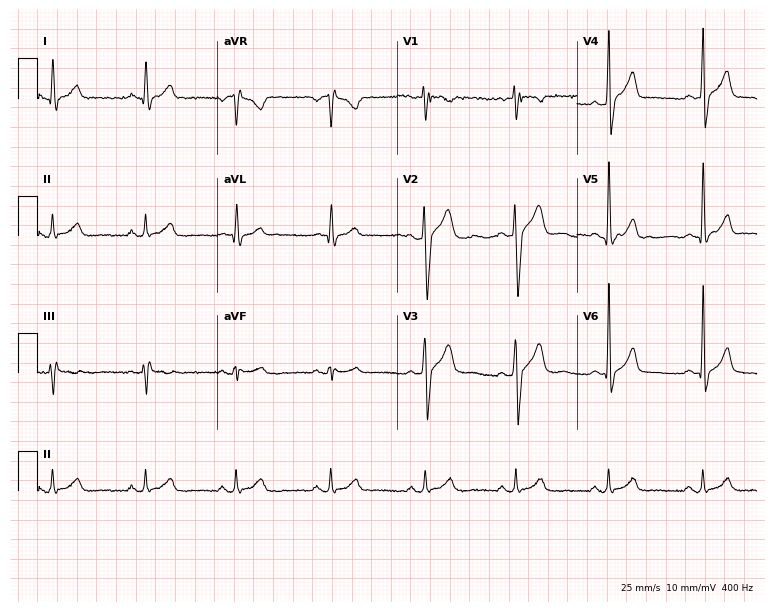
12-lead ECG from a 48-year-old male patient. Labelled as a normal ECG.